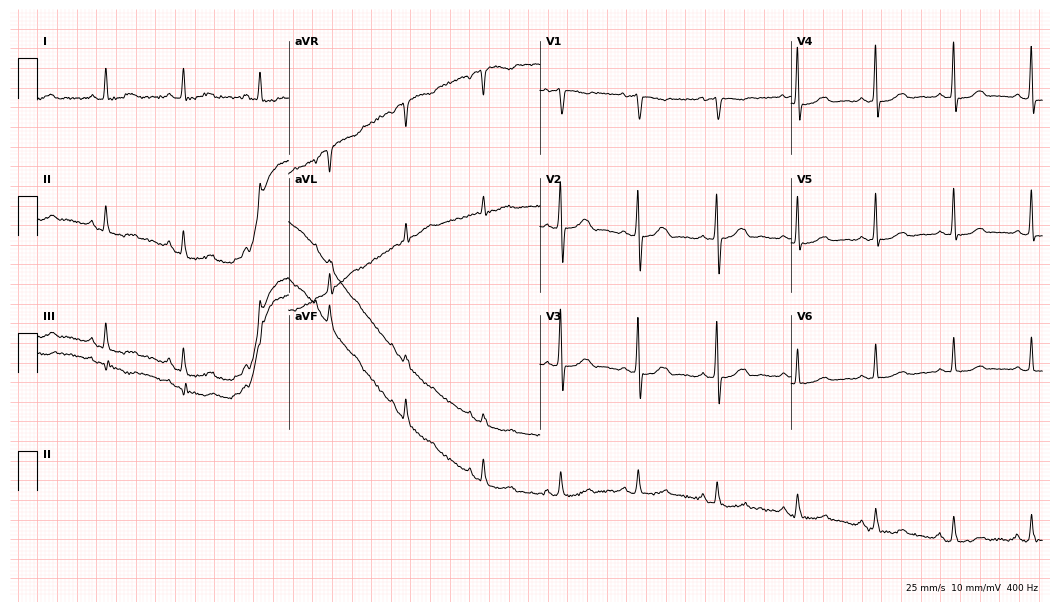
Electrocardiogram (10.2-second recording at 400 Hz), a 77-year-old female. Overall reading on record: normal ECG.